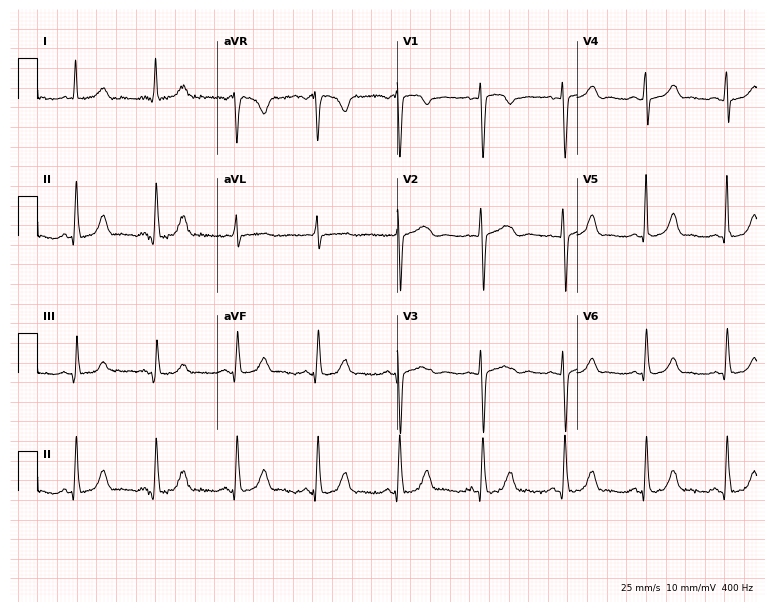
Standard 12-lead ECG recorded from a 54-year-old woman (7.3-second recording at 400 Hz). Read as a normal ECG.